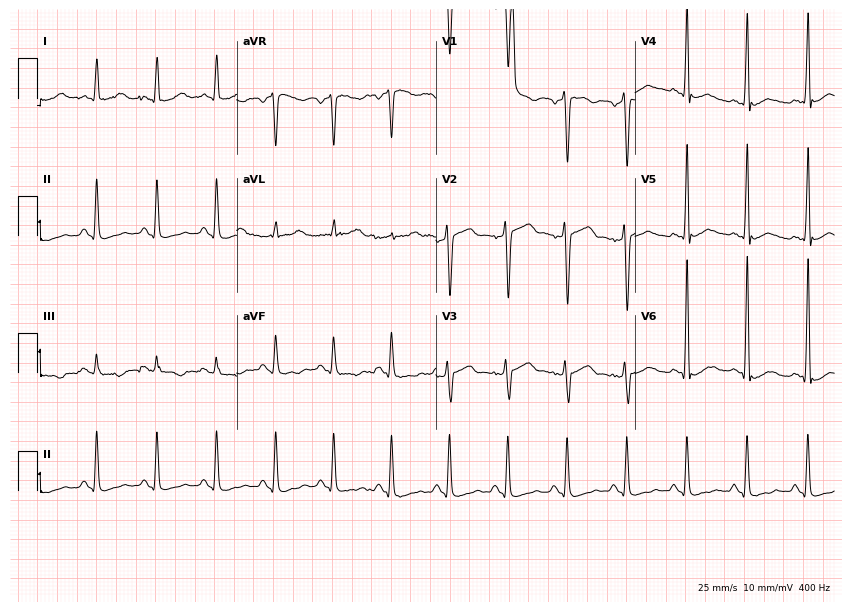
Electrocardiogram, a male patient, 59 years old. Of the six screened findings (first-degree AV block, right bundle branch block, left bundle branch block, sinus bradycardia, atrial fibrillation, sinus tachycardia), none is recorded.